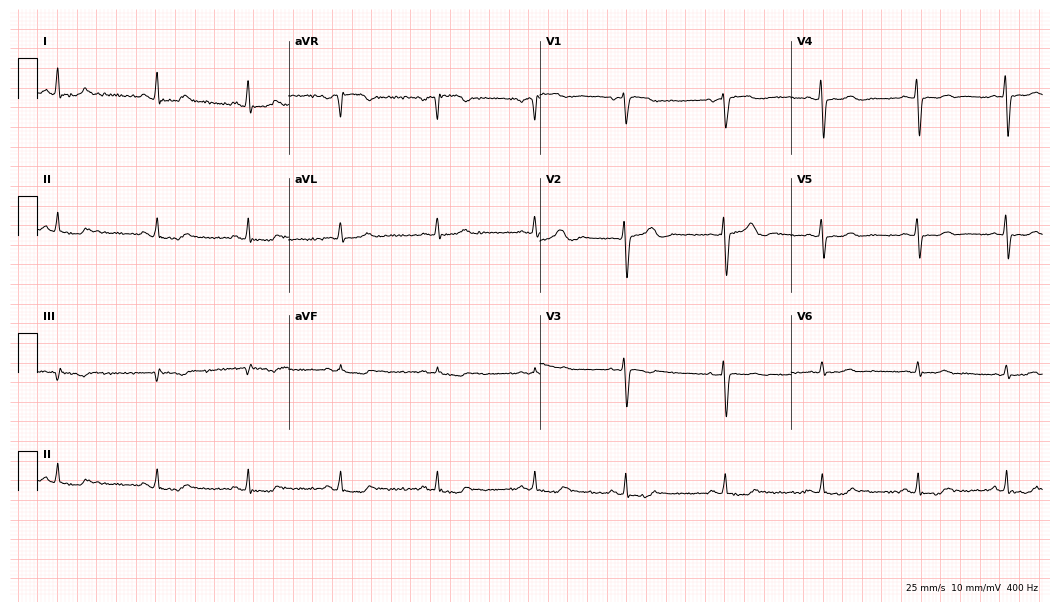
Resting 12-lead electrocardiogram. Patient: a 40-year-old woman. None of these six findings is recorded: first-degree AV block, right bundle branch block, left bundle branch block, sinus bradycardia, atrial fibrillation, sinus tachycardia. Other findings, if any, are not listed.